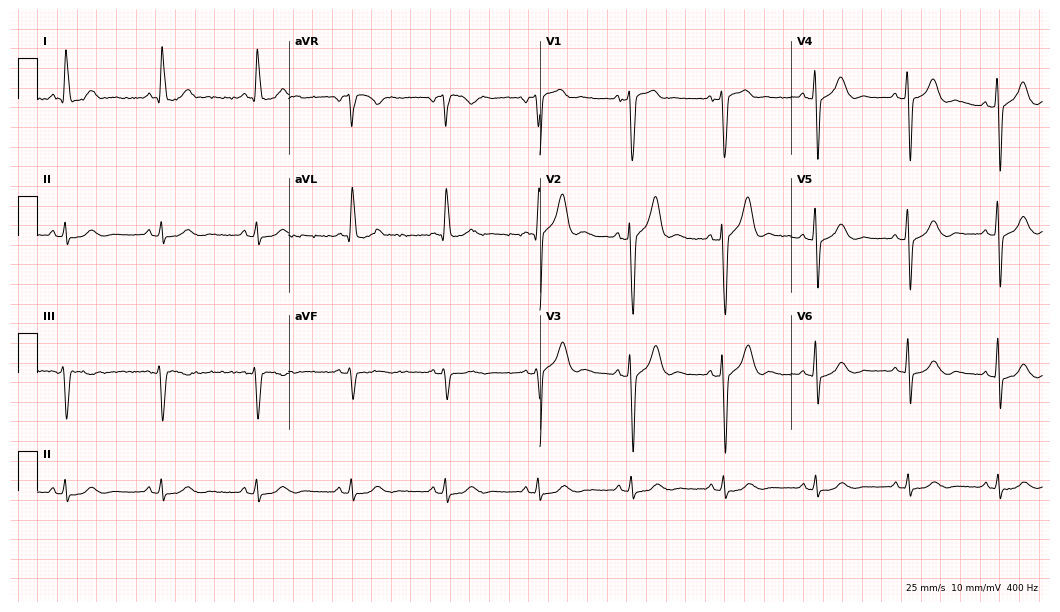
Resting 12-lead electrocardiogram (10.2-second recording at 400 Hz). Patient: a 73-year-old male. Read as a normal ECG.